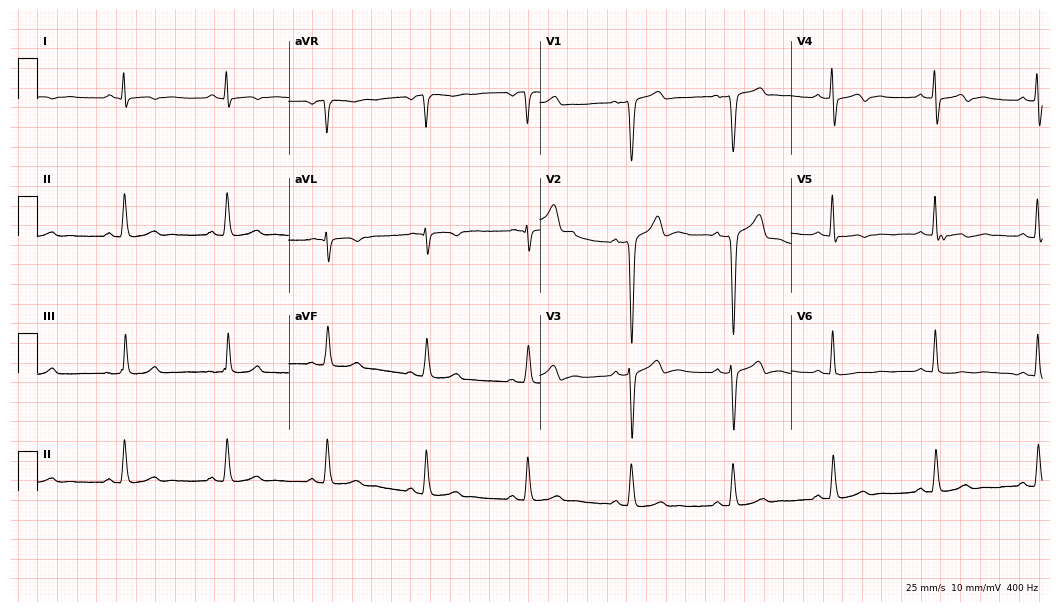
Electrocardiogram, a 50-year-old male patient. Of the six screened findings (first-degree AV block, right bundle branch block (RBBB), left bundle branch block (LBBB), sinus bradycardia, atrial fibrillation (AF), sinus tachycardia), none is recorded.